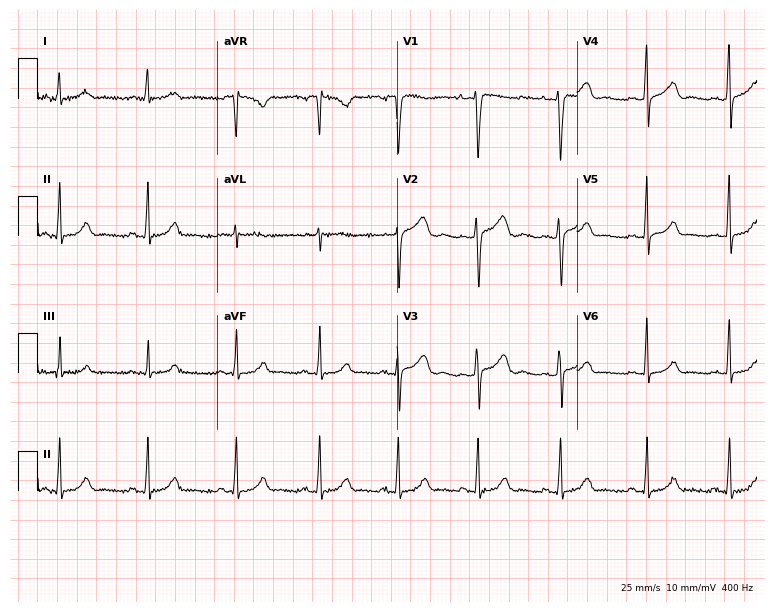
12-lead ECG from a 26-year-old woman. Labelled as a normal ECG.